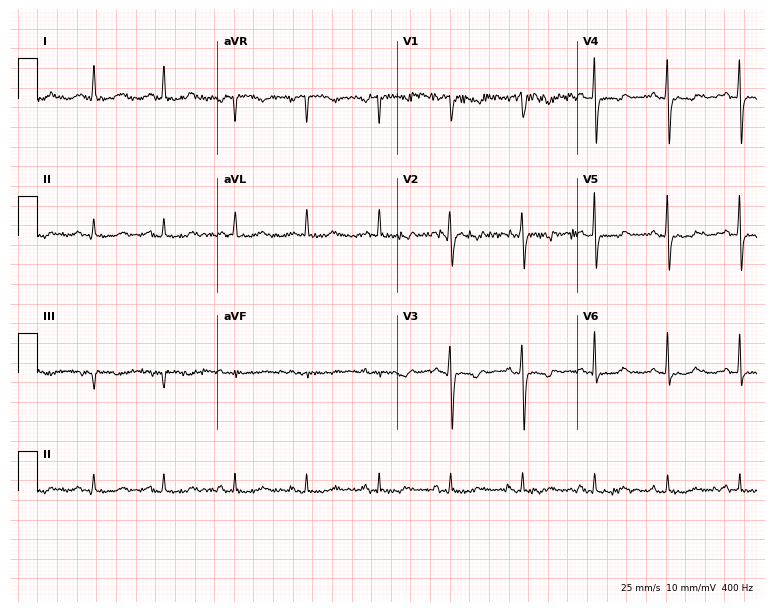
Resting 12-lead electrocardiogram (7.3-second recording at 400 Hz). Patient: a female, 63 years old. None of these six findings is recorded: first-degree AV block, right bundle branch block, left bundle branch block, sinus bradycardia, atrial fibrillation, sinus tachycardia. Findings outside these six are not listed.